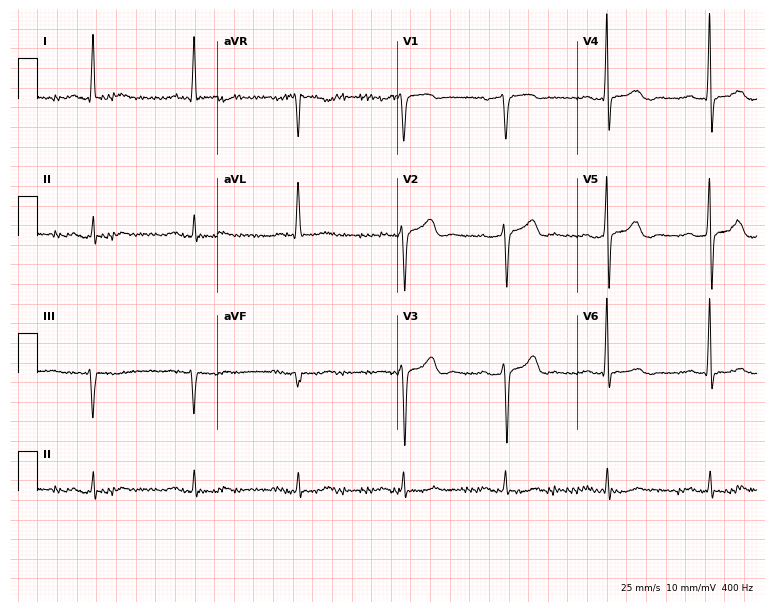
12-lead ECG from a 74-year-old man. No first-degree AV block, right bundle branch block (RBBB), left bundle branch block (LBBB), sinus bradycardia, atrial fibrillation (AF) or sinus tachycardia recorded for this tracing.